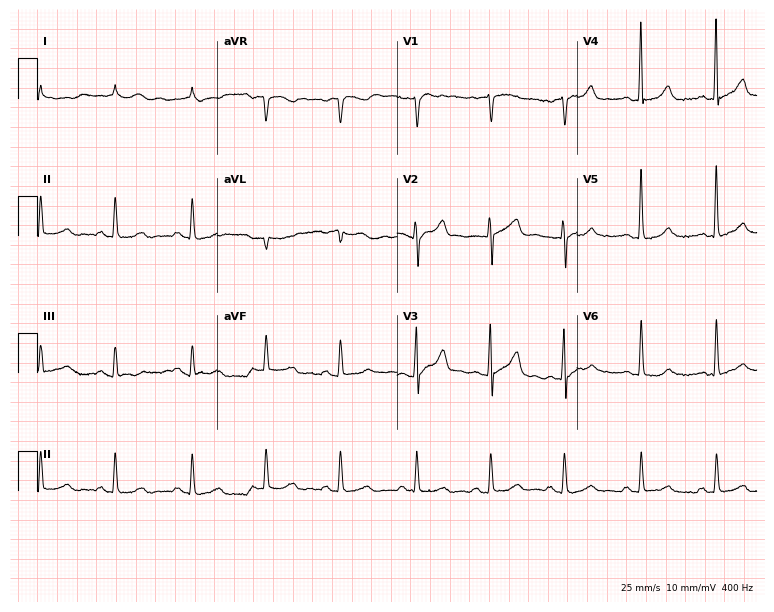
ECG — a woman, 82 years old. Screened for six findings — first-degree AV block, right bundle branch block (RBBB), left bundle branch block (LBBB), sinus bradycardia, atrial fibrillation (AF), sinus tachycardia — none is recorded.